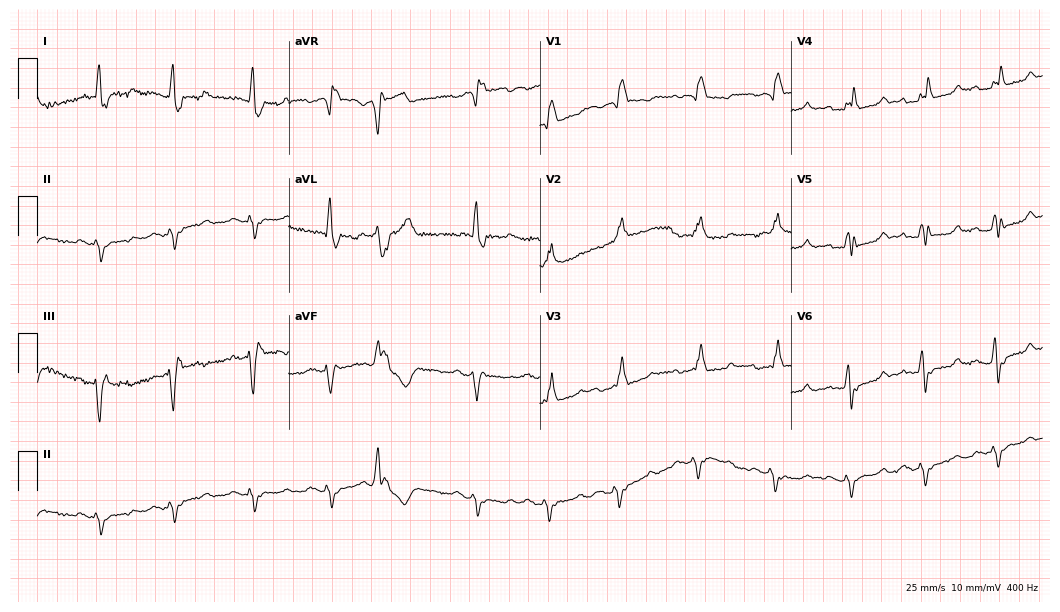
Standard 12-lead ECG recorded from a 66-year-old female (10.2-second recording at 400 Hz). The tracing shows right bundle branch block.